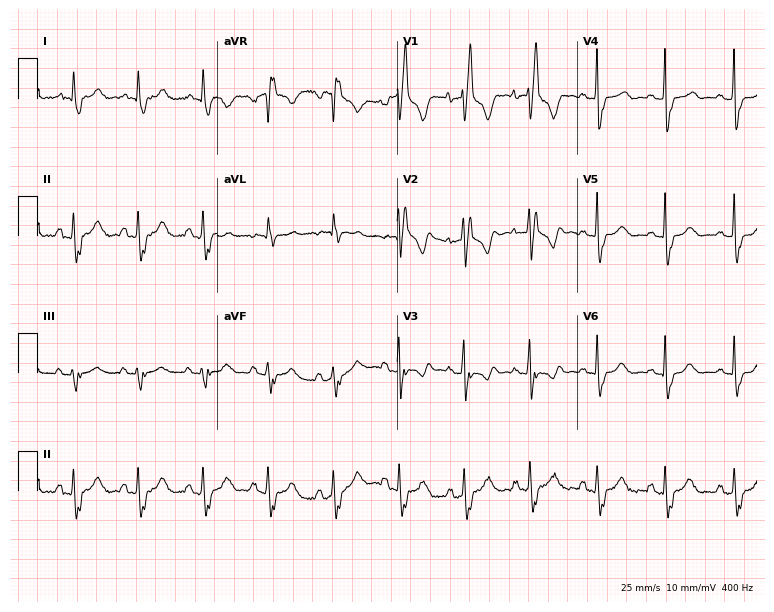
12-lead ECG from a woman, 21 years old. Findings include right bundle branch block.